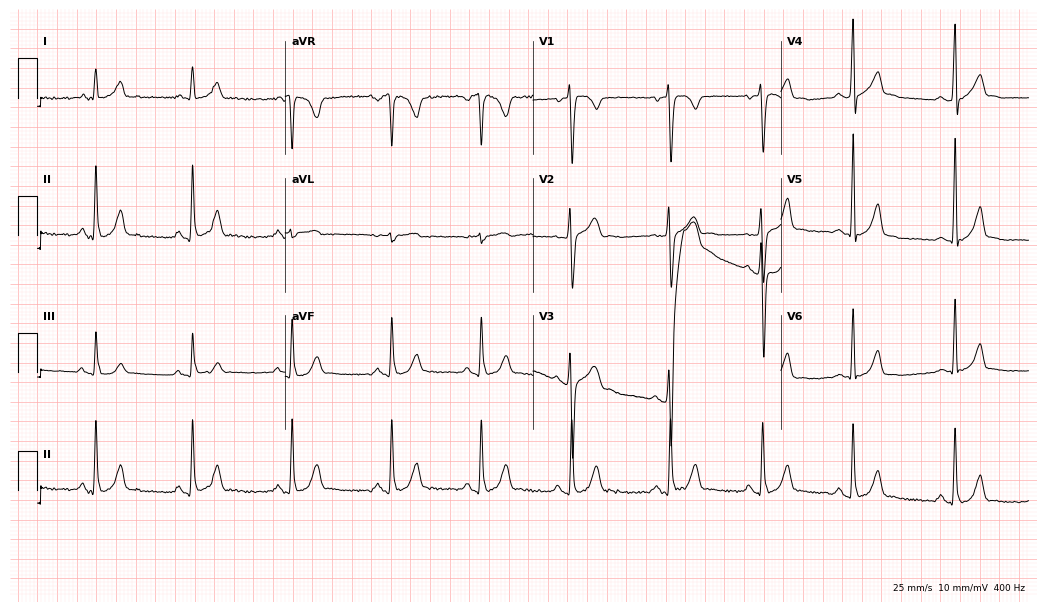
ECG (10.1-second recording at 400 Hz) — a male, 19 years old. Screened for six findings — first-degree AV block, right bundle branch block, left bundle branch block, sinus bradycardia, atrial fibrillation, sinus tachycardia — none is recorded. Findings outside these six are not listed.